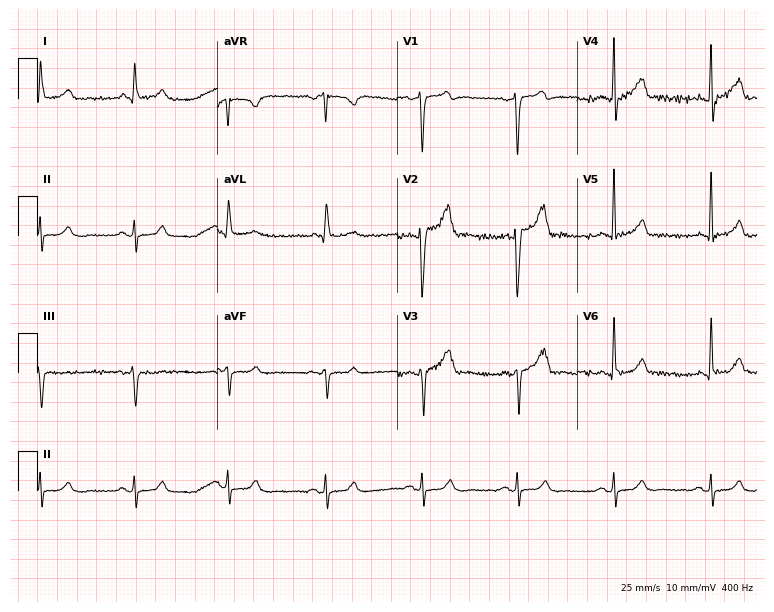
Resting 12-lead electrocardiogram. Patient: a 62-year-old man. Read as a normal ECG.